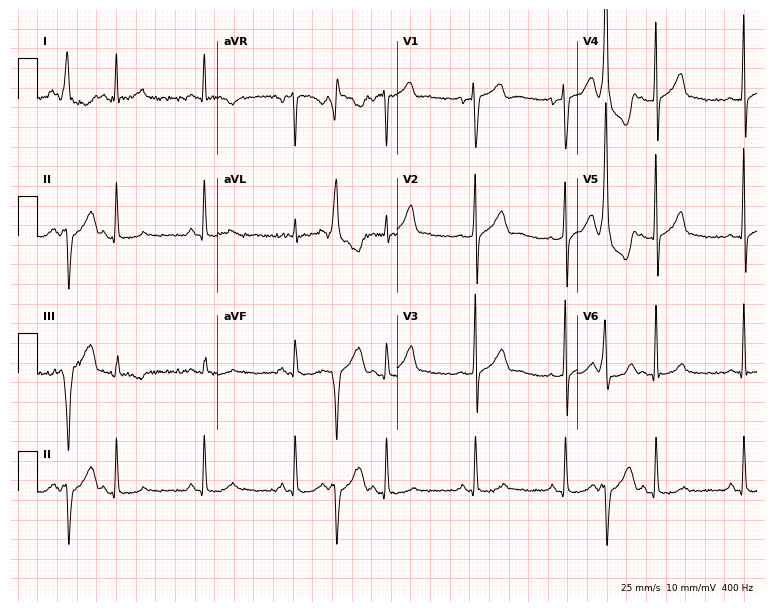
ECG — a male, 48 years old. Labelled as a normal ECG.